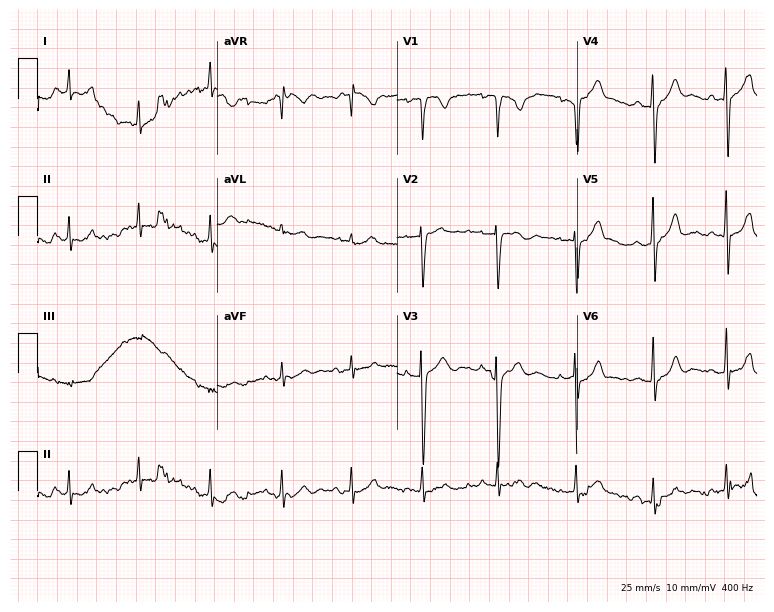
Resting 12-lead electrocardiogram. Patient: a 27-year-old female. None of these six findings is recorded: first-degree AV block, right bundle branch block, left bundle branch block, sinus bradycardia, atrial fibrillation, sinus tachycardia. Only these six findings were labelled.